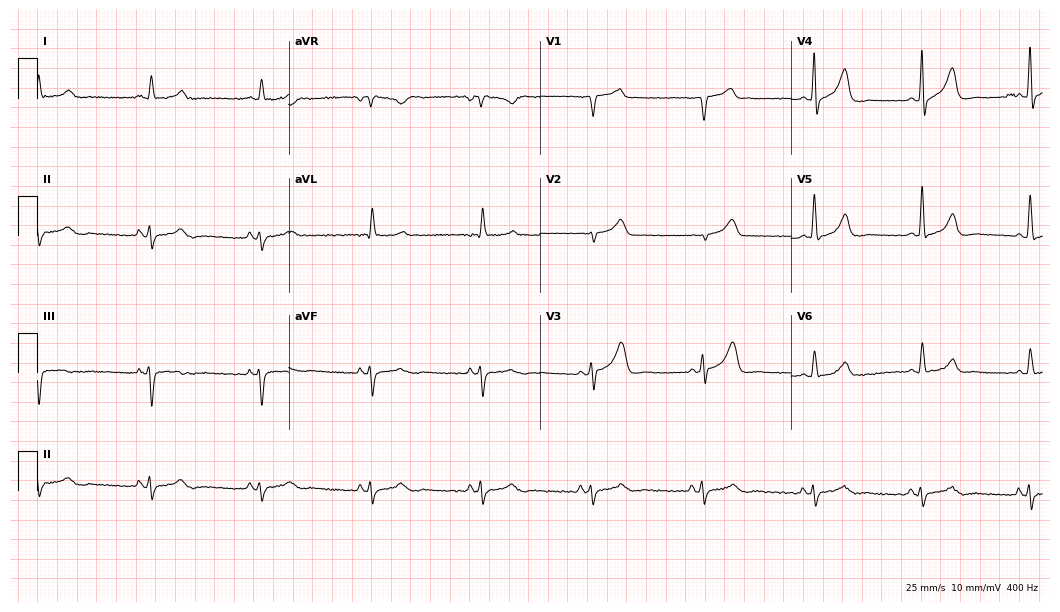
Resting 12-lead electrocardiogram (10.2-second recording at 400 Hz). Patient: a male, 73 years old. None of these six findings is recorded: first-degree AV block, right bundle branch block, left bundle branch block, sinus bradycardia, atrial fibrillation, sinus tachycardia. Other findings, if any, are not listed.